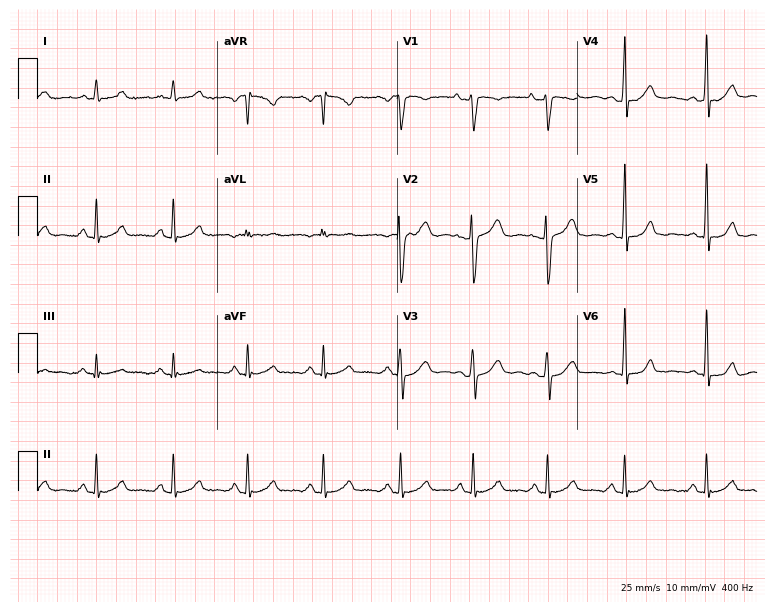
Electrocardiogram, a 22-year-old female patient. Overall reading on record: normal ECG.